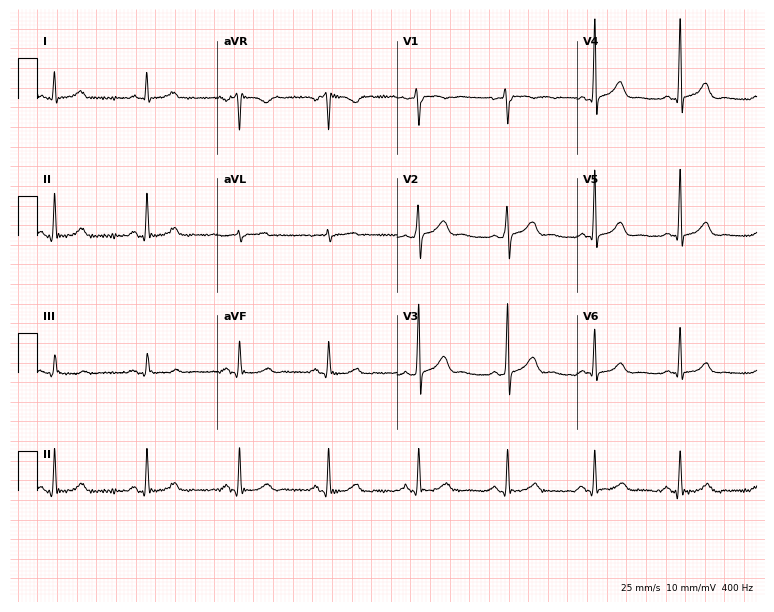
Electrocardiogram, a male patient, 51 years old. Overall reading on record: normal ECG.